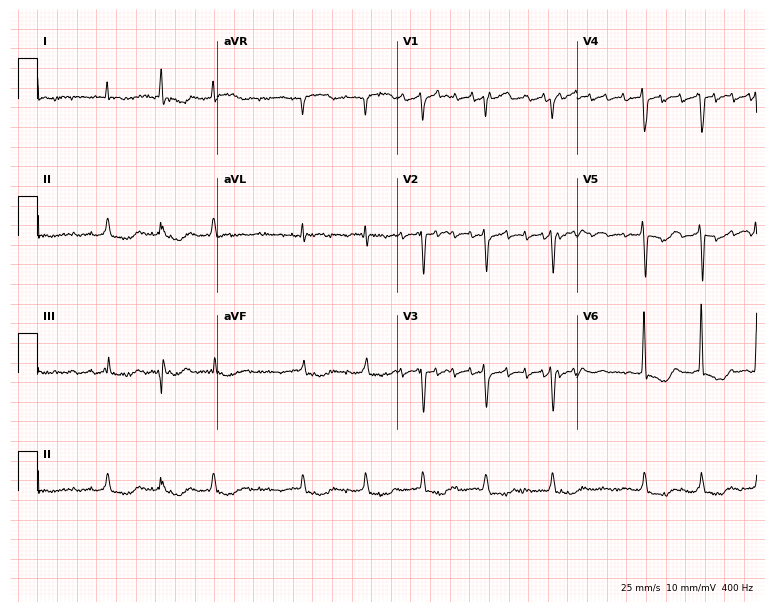
Electrocardiogram, a female, 83 years old. Of the six screened findings (first-degree AV block, right bundle branch block (RBBB), left bundle branch block (LBBB), sinus bradycardia, atrial fibrillation (AF), sinus tachycardia), none is recorded.